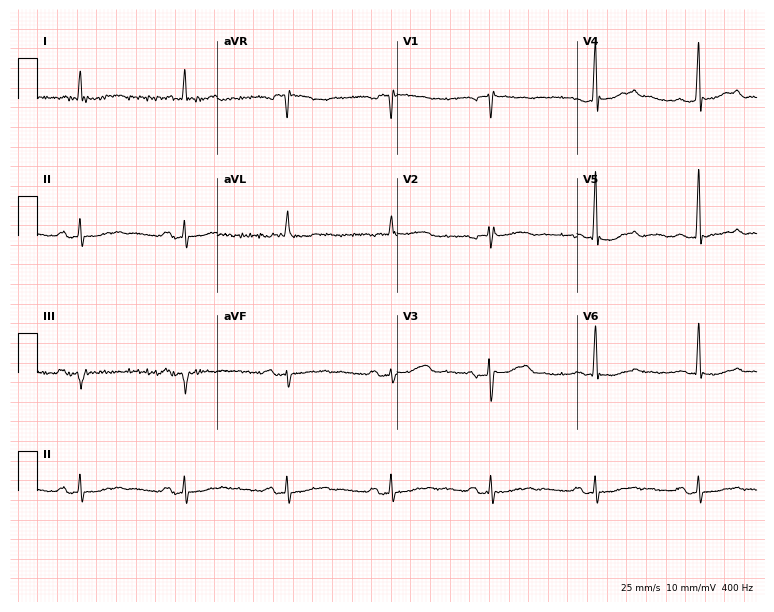
Resting 12-lead electrocardiogram (7.3-second recording at 400 Hz). Patient: a woman, 59 years old. None of these six findings is recorded: first-degree AV block, right bundle branch block, left bundle branch block, sinus bradycardia, atrial fibrillation, sinus tachycardia. Findings outside these six are not listed.